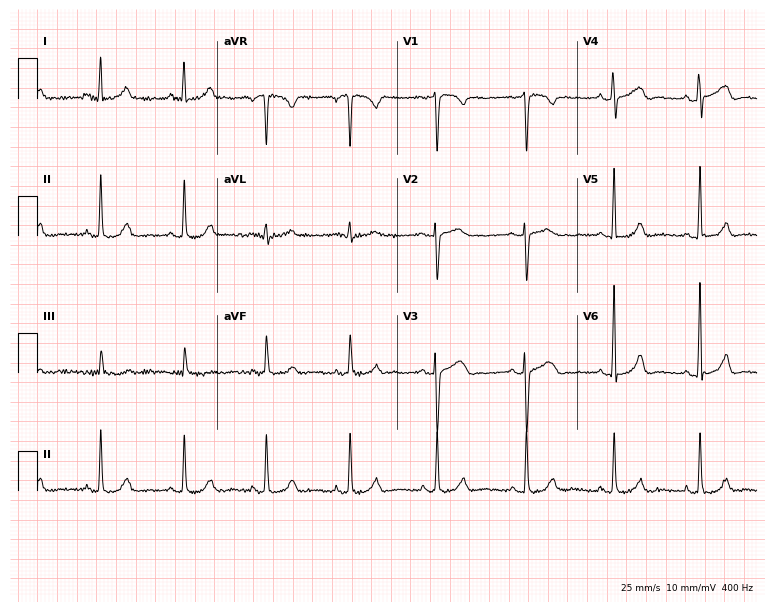
12-lead ECG from a woman, 33 years old. Recorded interpretation: within normal limits.